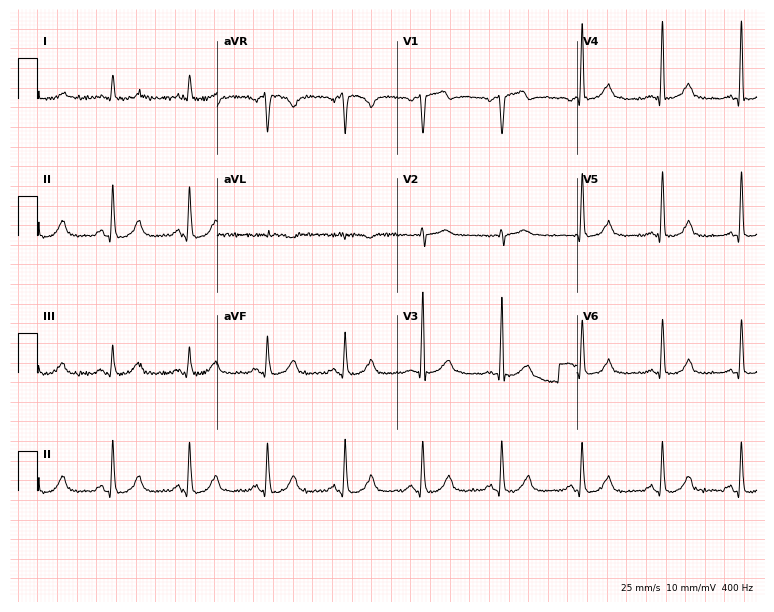
ECG (7.3-second recording at 400 Hz) — a man, 75 years old. Labelled as a normal ECG.